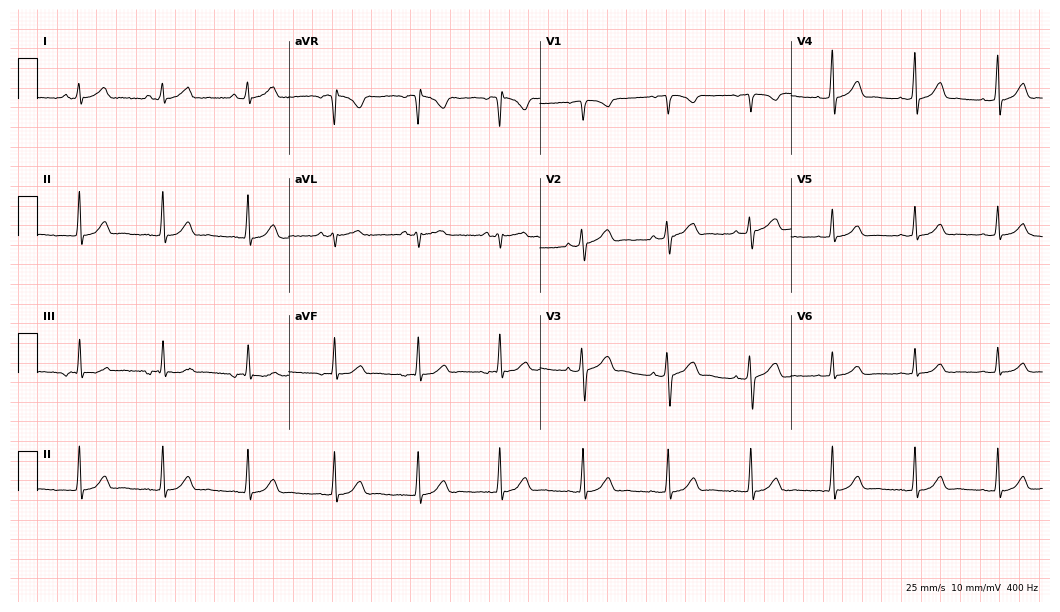
Resting 12-lead electrocardiogram. Patient: a female, 34 years old. Read as a normal ECG.